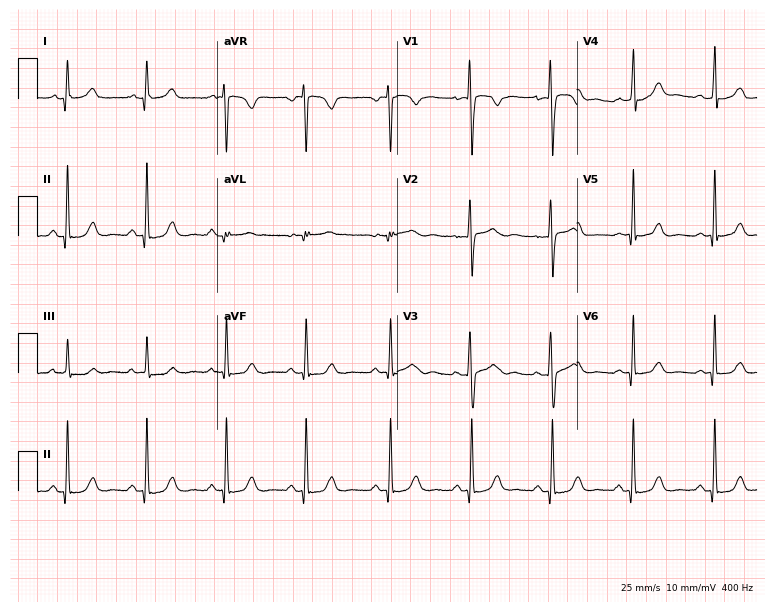
ECG — a female, 33 years old. Labelled as a normal ECG.